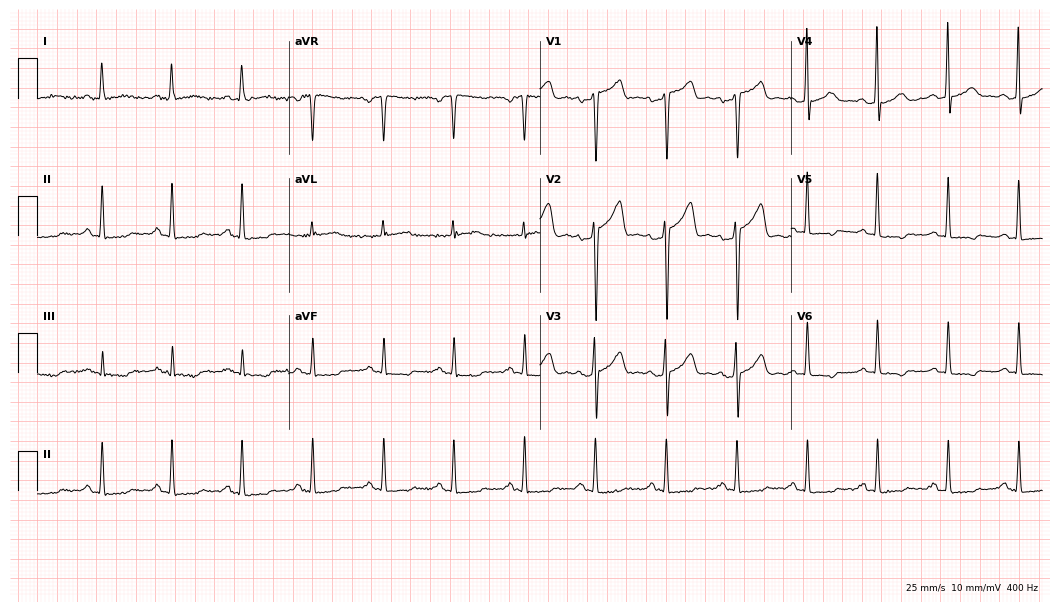
12-lead ECG (10.2-second recording at 400 Hz) from a male, 70 years old. Screened for six findings — first-degree AV block, right bundle branch block, left bundle branch block, sinus bradycardia, atrial fibrillation, sinus tachycardia — none is recorded.